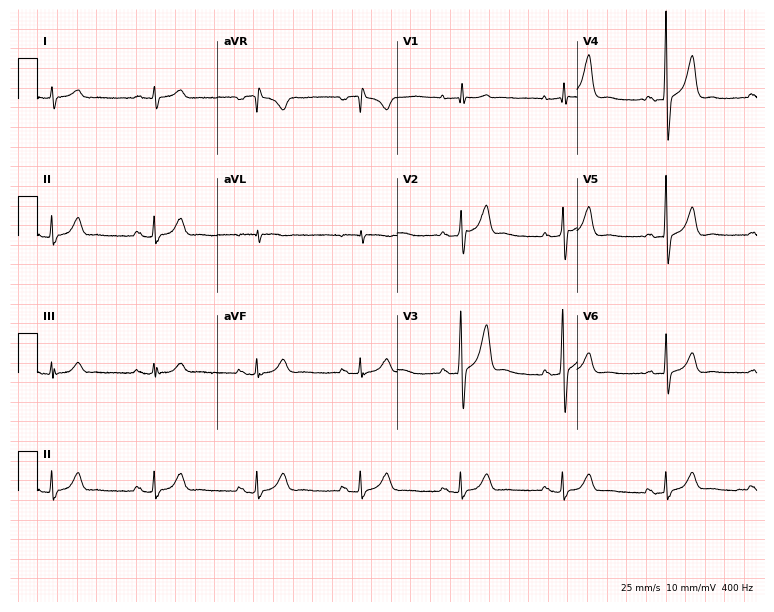
Electrocardiogram (7.3-second recording at 400 Hz), a 72-year-old male patient. Overall reading on record: normal ECG.